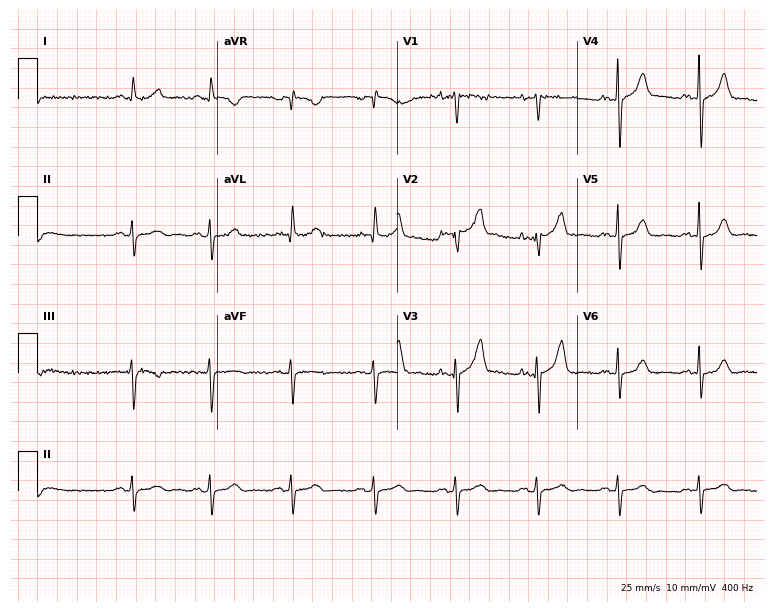
Resting 12-lead electrocardiogram (7.3-second recording at 400 Hz). Patient: a man, 82 years old. None of these six findings is recorded: first-degree AV block, right bundle branch block, left bundle branch block, sinus bradycardia, atrial fibrillation, sinus tachycardia. Only these six findings were labelled.